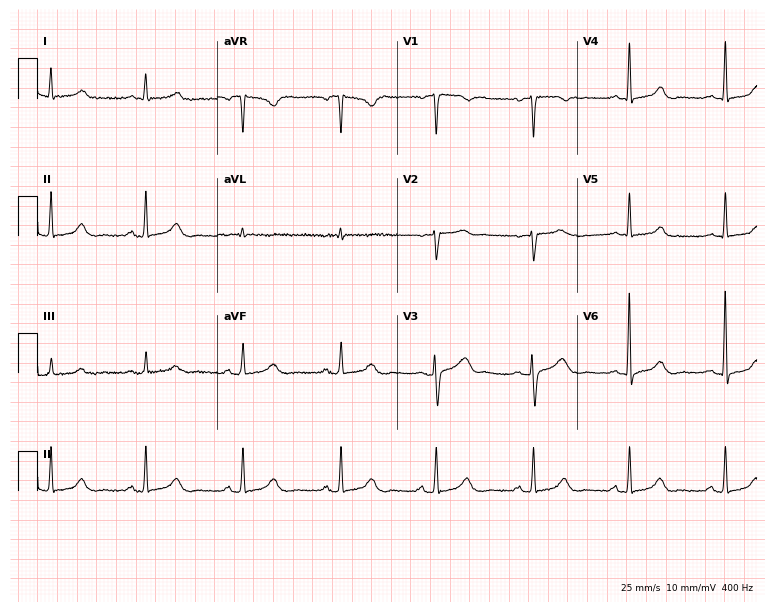
12-lead ECG from a female patient, 53 years old. Recorded interpretation: within normal limits.